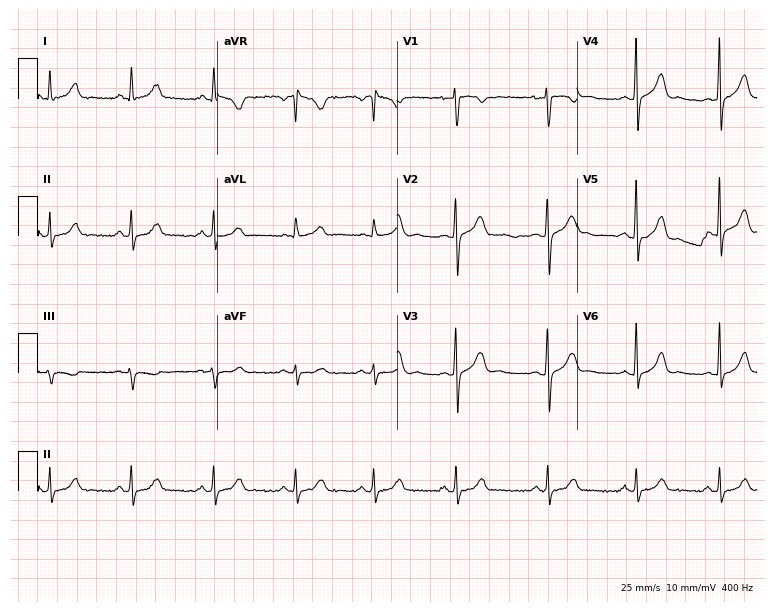
ECG (7.3-second recording at 400 Hz) — a male patient, 22 years old. Labelled as a normal ECG.